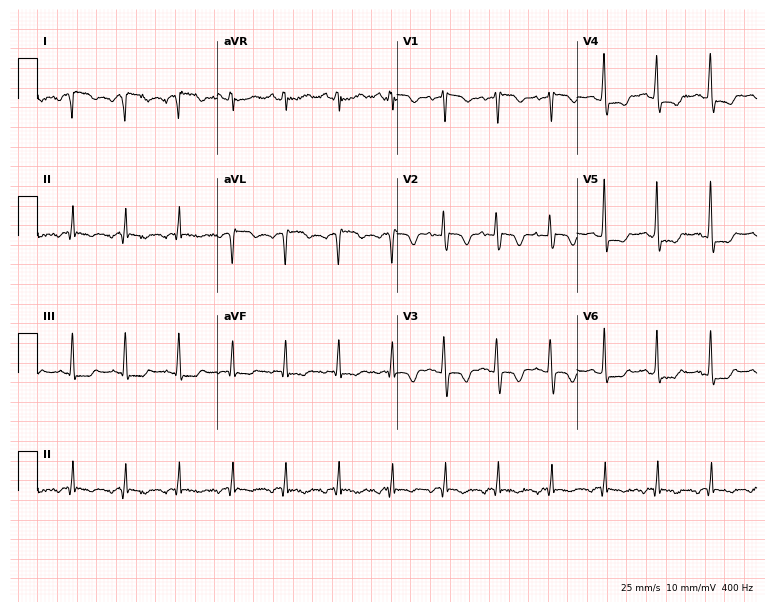
12-lead ECG from a female patient, 80 years old. Shows sinus tachycardia (a sinus rate of 100 beats per minute or more).